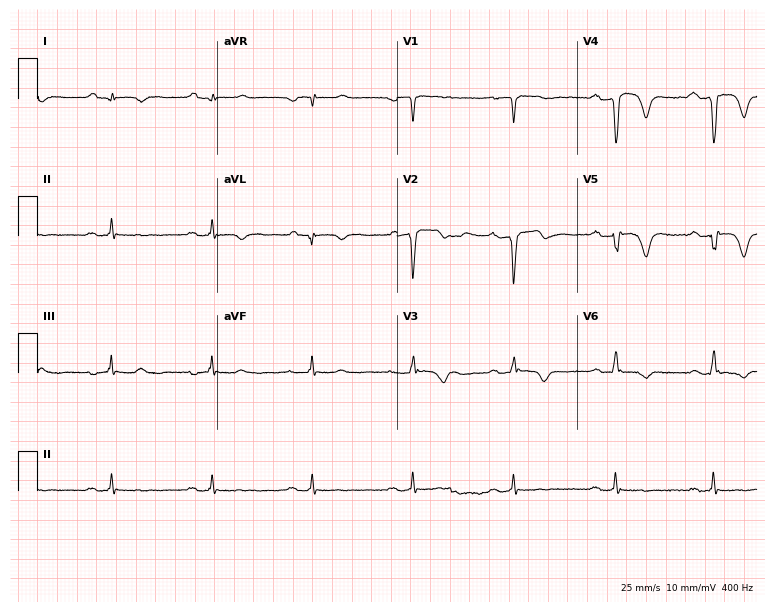
Standard 12-lead ECG recorded from a 59-year-old man. None of these six findings is recorded: first-degree AV block, right bundle branch block (RBBB), left bundle branch block (LBBB), sinus bradycardia, atrial fibrillation (AF), sinus tachycardia. Findings outside these six are not listed.